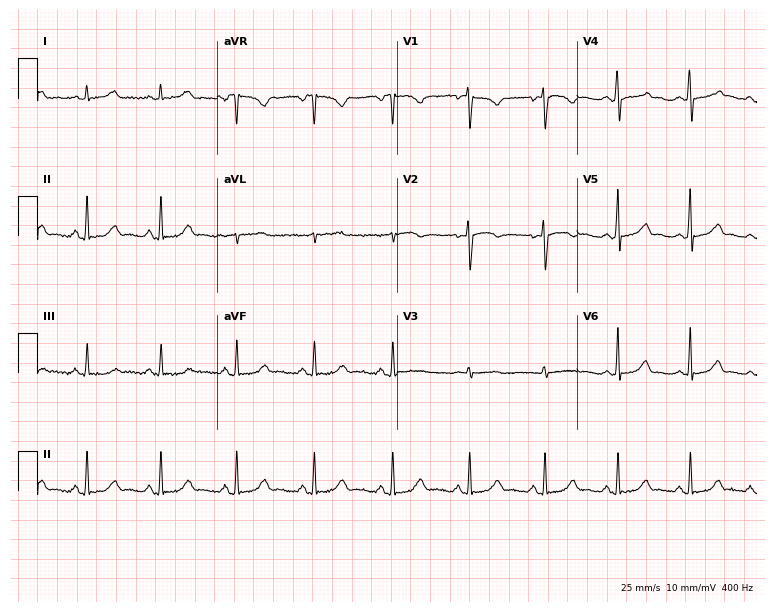
12-lead ECG from a 28-year-old female patient (7.3-second recording at 400 Hz). Recorded interpretation: within normal limits.